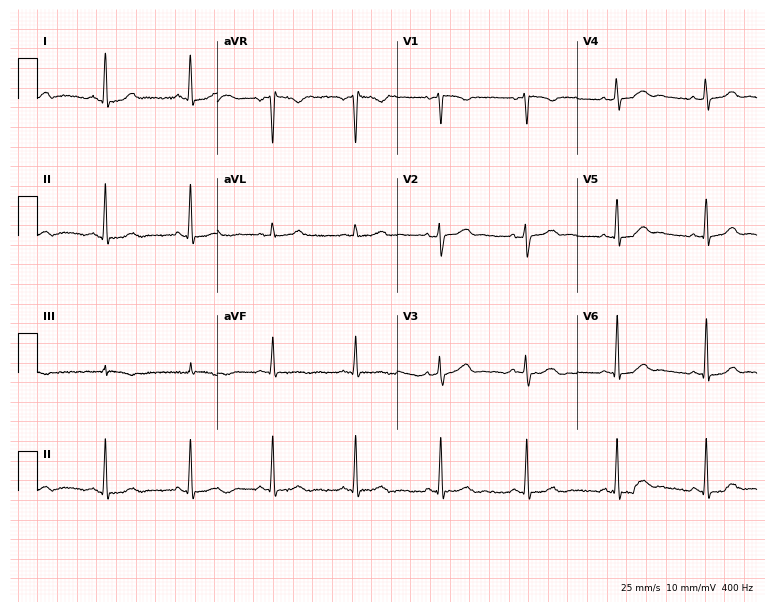
ECG — a woman, 48 years old. Screened for six findings — first-degree AV block, right bundle branch block, left bundle branch block, sinus bradycardia, atrial fibrillation, sinus tachycardia — none is recorded.